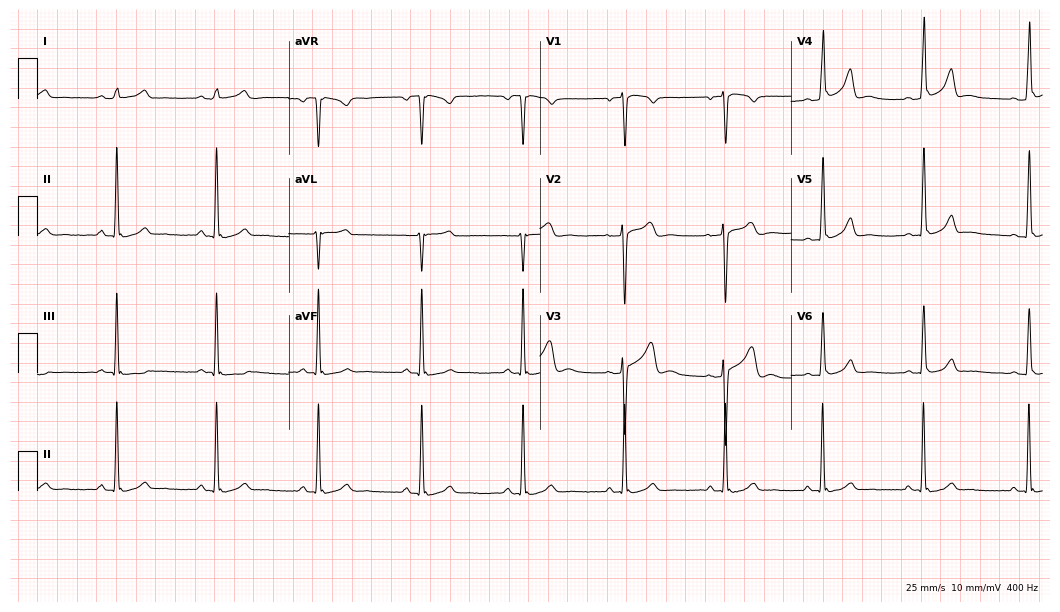
Electrocardiogram, a 25-year-old male patient. Overall reading on record: normal ECG.